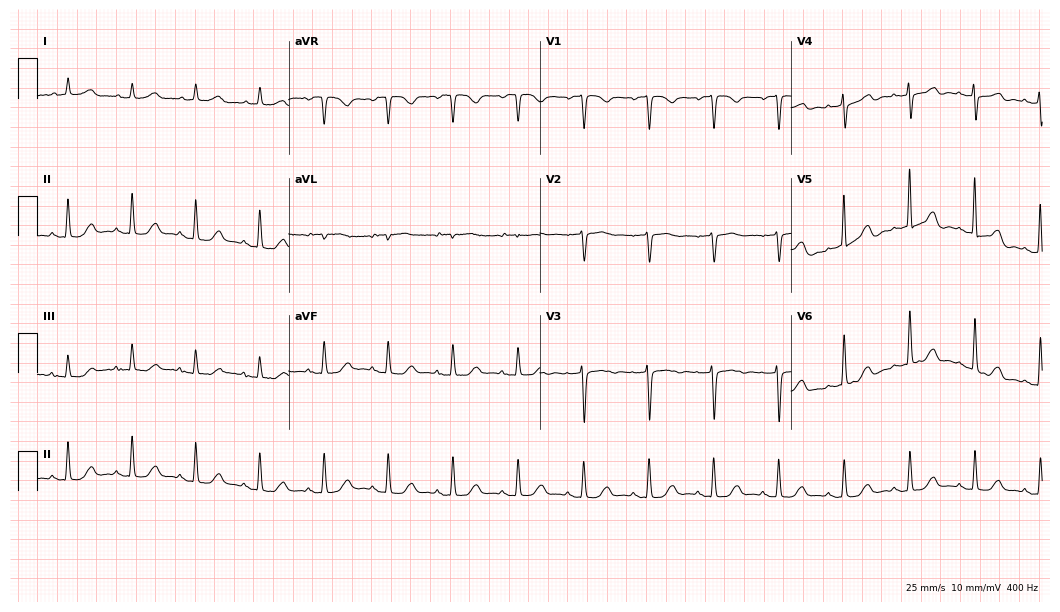
12-lead ECG from an 83-year-old female patient. Labelled as a normal ECG.